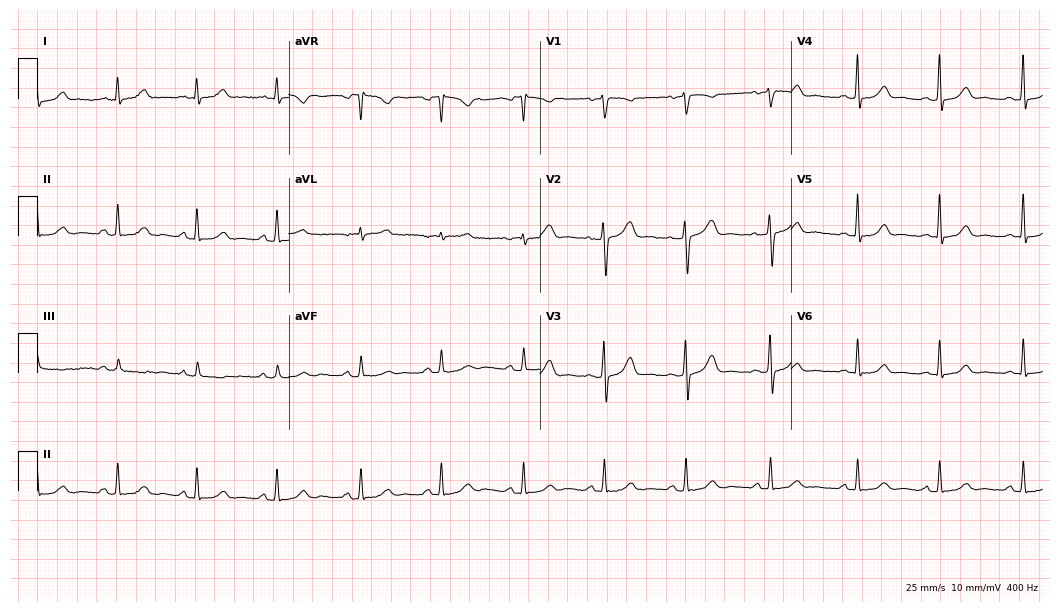
Standard 12-lead ECG recorded from a 53-year-old woman (10.2-second recording at 400 Hz). Read as a normal ECG.